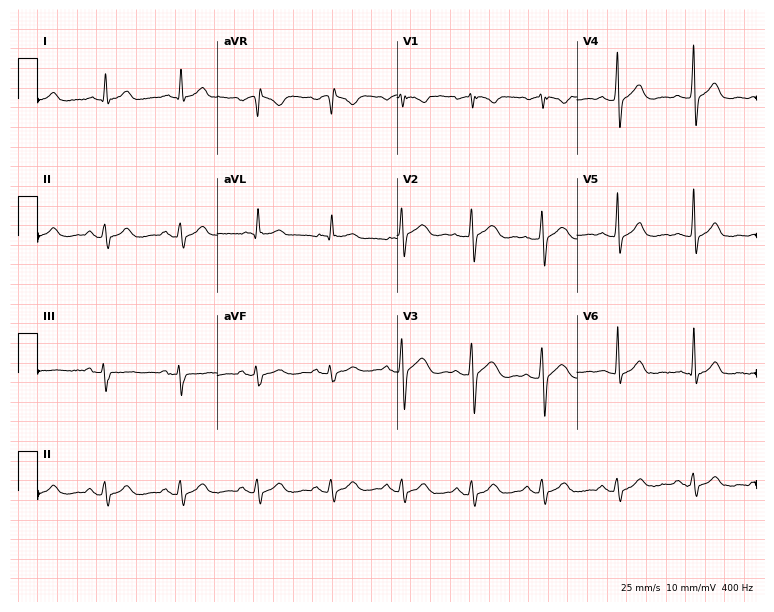
Standard 12-lead ECG recorded from a 48-year-old male. None of these six findings is recorded: first-degree AV block, right bundle branch block, left bundle branch block, sinus bradycardia, atrial fibrillation, sinus tachycardia. Other findings, if any, are not listed.